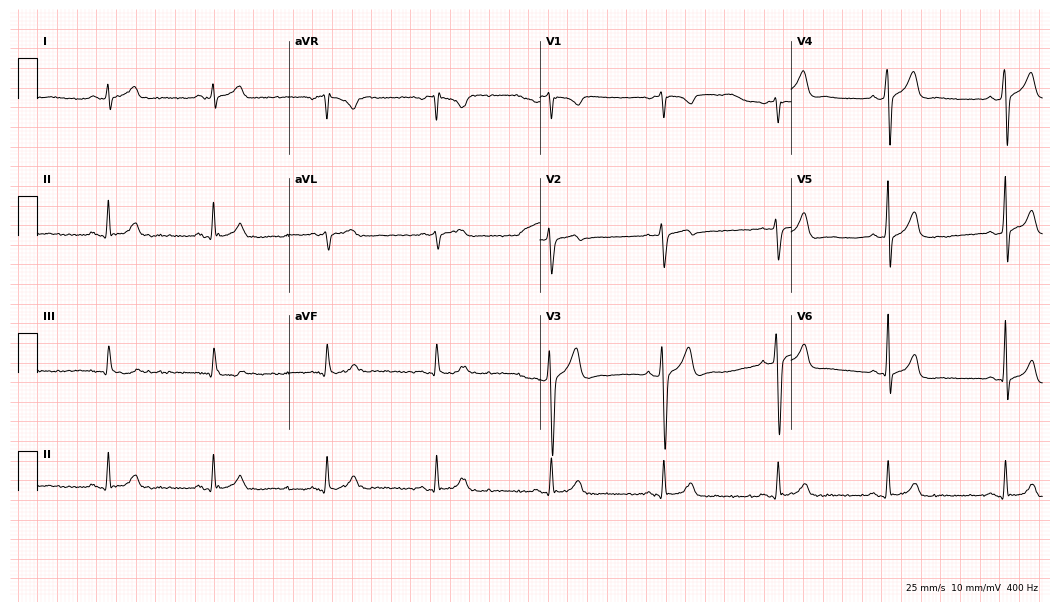
12-lead ECG from a male patient, 28 years old. Screened for six findings — first-degree AV block, right bundle branch block (RBBB), left bundle branch block (LBBB), sinus bradycardia, atrial fibrillation (AF), sinus tachycardia — none is recorded. Other findings, if any, are not listed.